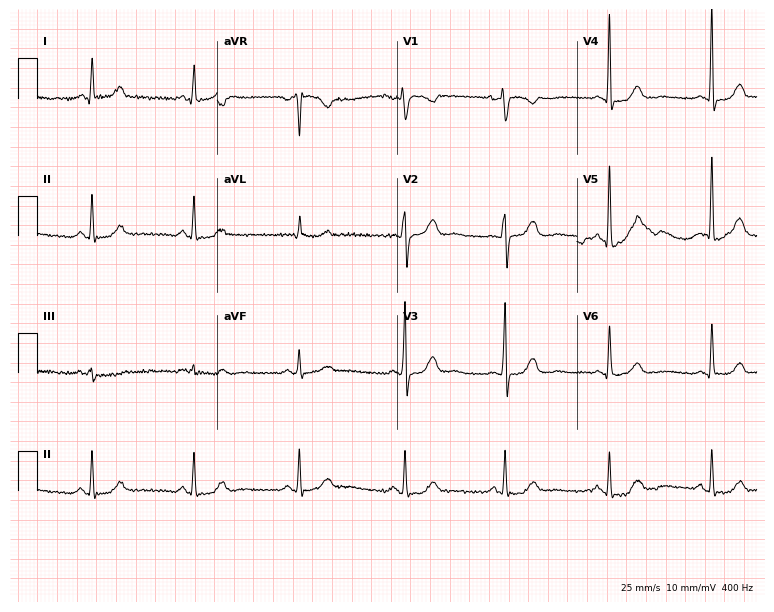
12-lead ECG from a female patient, 65 years old. Recorded interpretation: within normal limits.